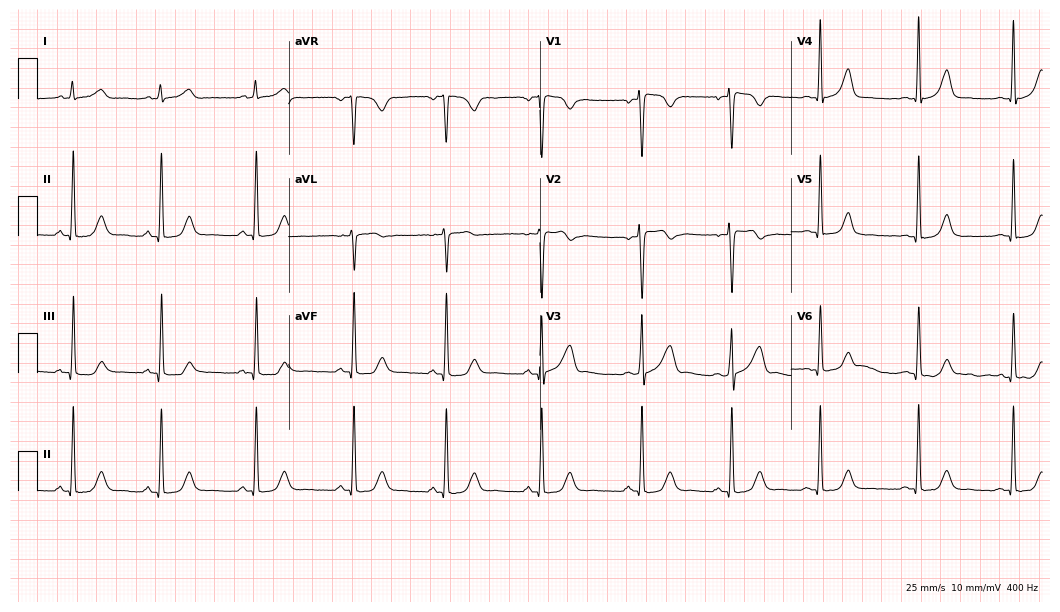
Standard 12-lead ECG recorded from a female patient, 24 years old. Read as a normal ECG.